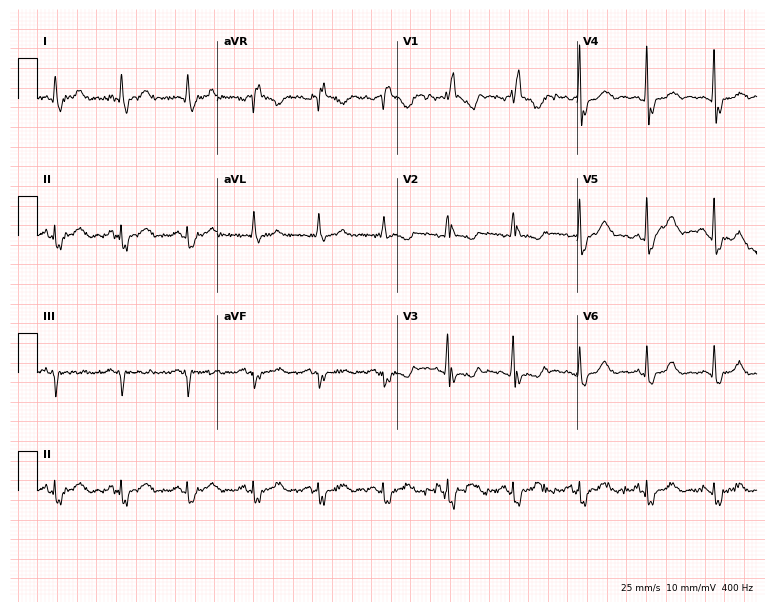
Electrocardiogram, a 53-year-old female. Interpretation includes right bundle branch block.